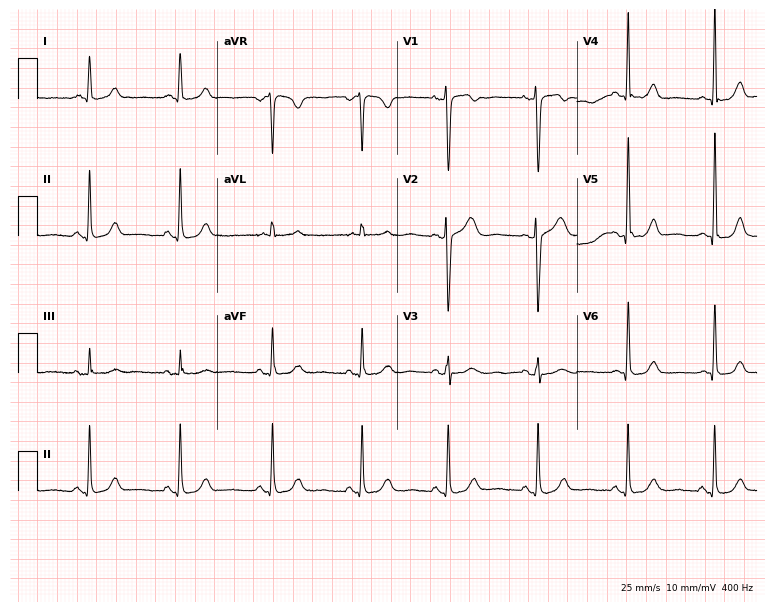
12-lead ECG from a woman, 49 years old (7.3-second recording at 400 Hz). No first-degree AV block, right bundle branch block (RBBB), left bundle branch block (LBBB), sinus bradycardia, atrial fibrillation (AF) or sinus tachycardia recorded for this tracing. Findings outside these six are not listed.